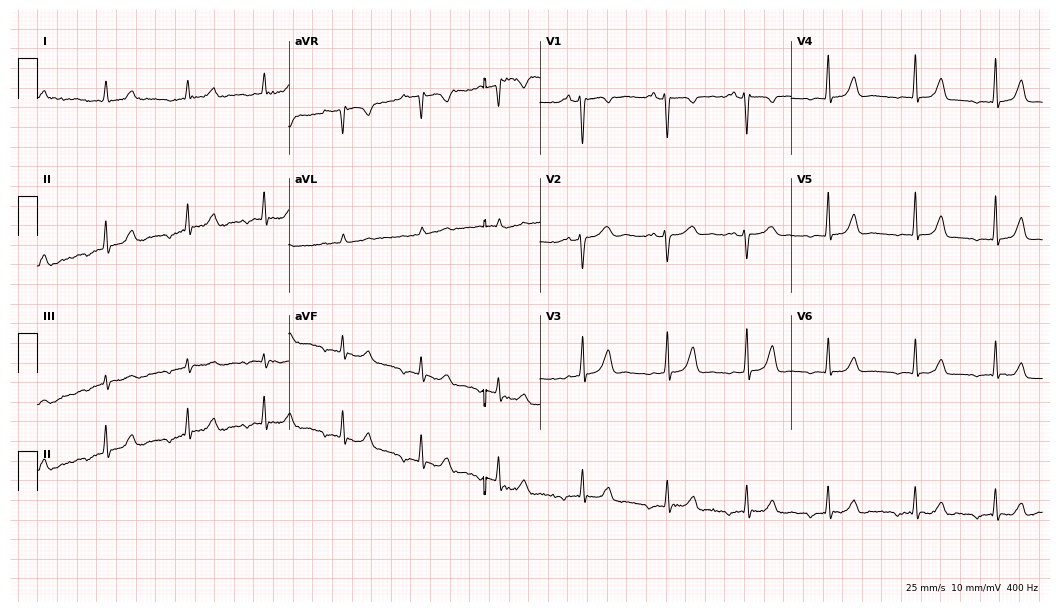
ECG — a 20-year-old female. Labelled as a normal ECG.